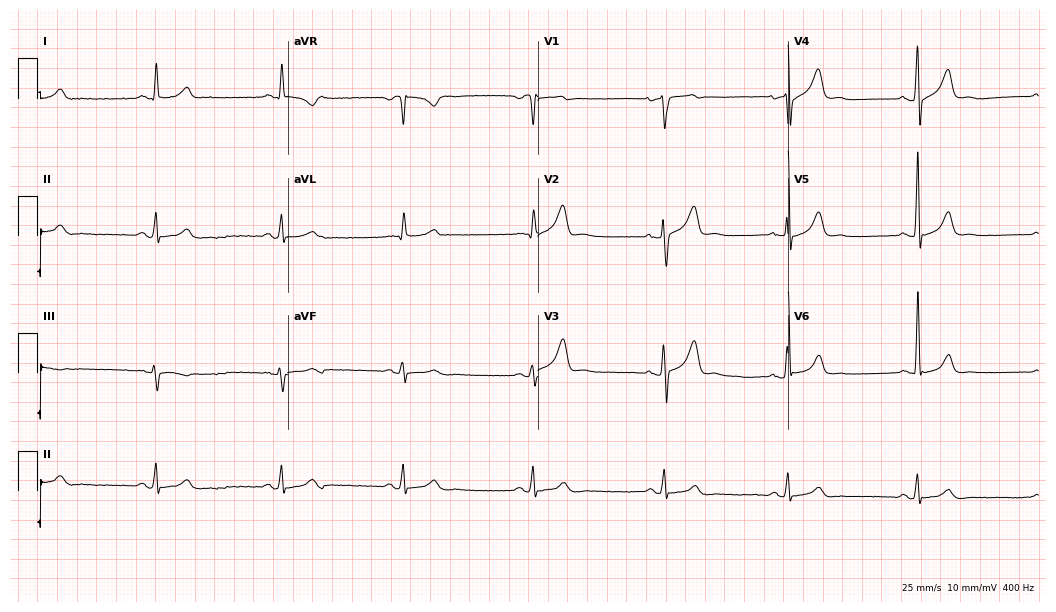
12-lead ECG from a man, 53 years old (10.2-second recording at 400 Hz). Shows sinus bradycardia (a sinus rate of 50 beats per minute or less).